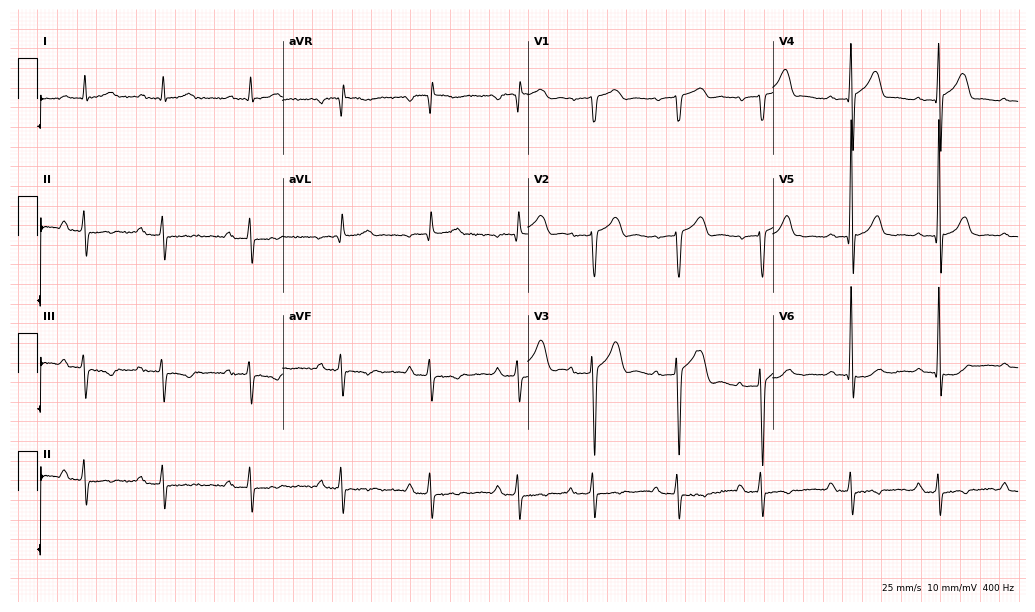
ECG — a male, 74 years old. Findings include first-degree AV block.